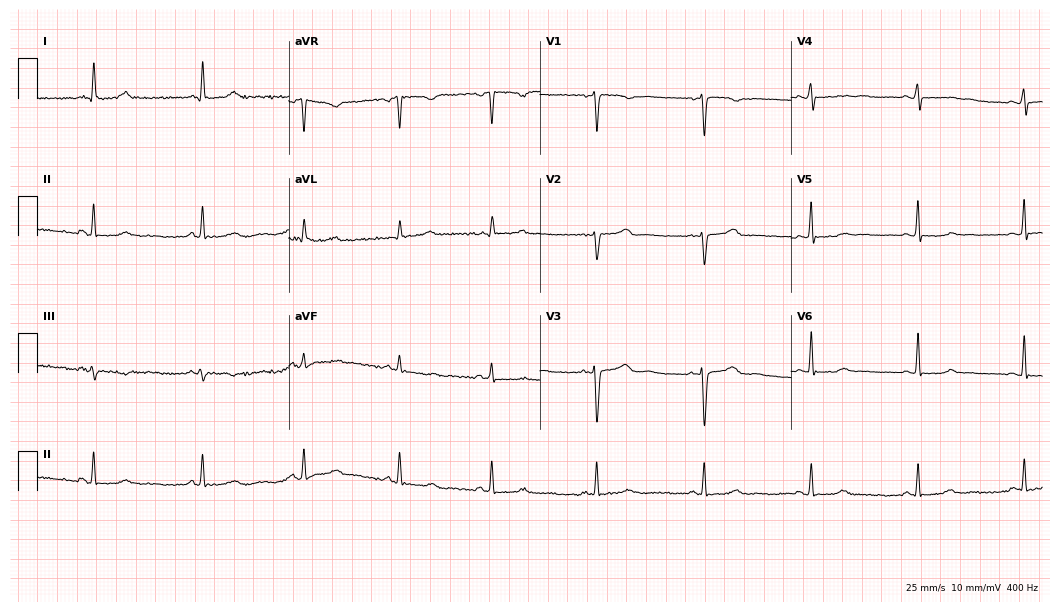
12-lead ECG from a 38-year-old female. Recorded interpretation: within normal limits.